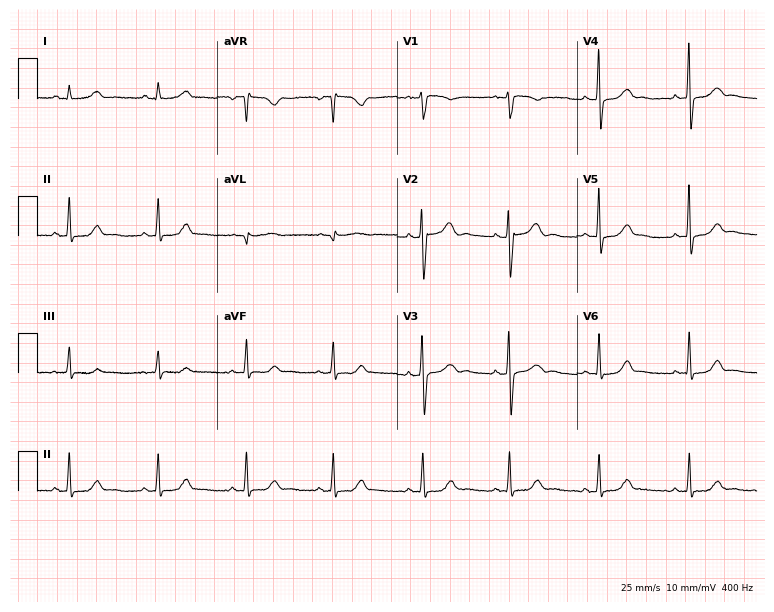
Resting 12-lead electrocardiogram (7.3-second recording at 400 Hz). Patient: a female, 41 years old. None of these six findings is recorded: first-degree AV block, right bundle branch block, left bundle branch block, sinus bradycardia, atrial fibrillation, sinus tachycardia. Only these six findings were labelled.